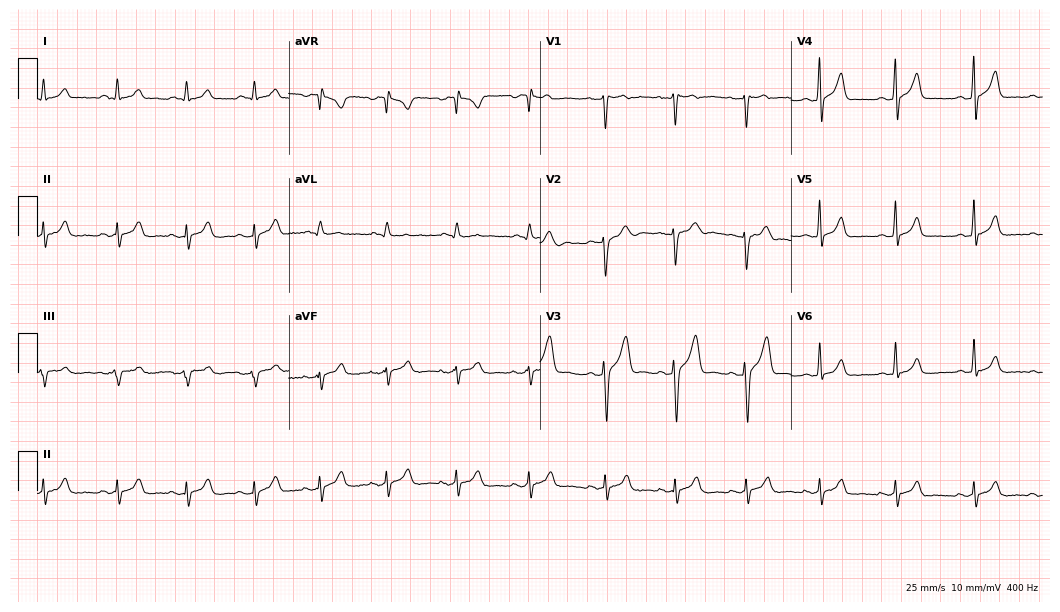
Standard 12-lead ECG recorded from a 21-year-old male (10.2-second recording at 400 Hz). None of these six findings is recorded: first-degree AV block, right bundle branch block (RBBB), left bundle branch block (LBBB), sinus bradycardia, atrial fibrillation (AF), sinus tachycardia. Findings outside these six are not listed.